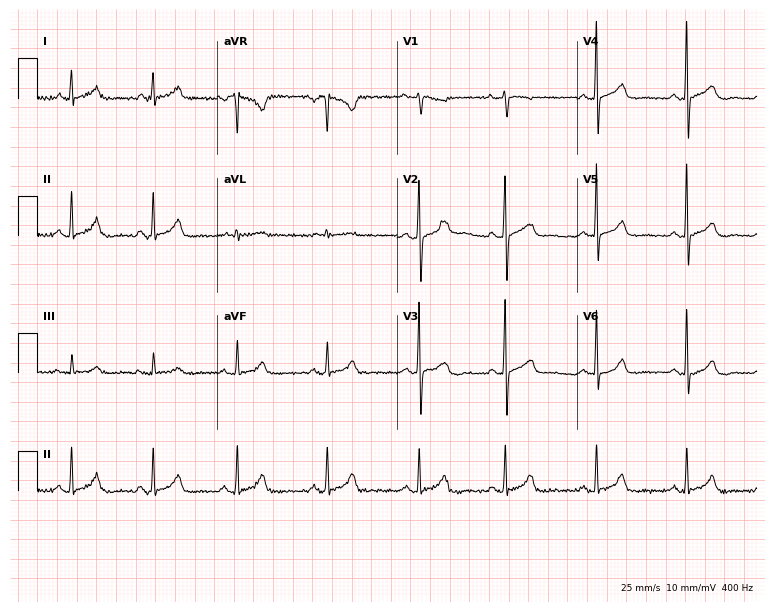
12-lead ECG from a female, 46 years old. Labelled as a normal ECG.